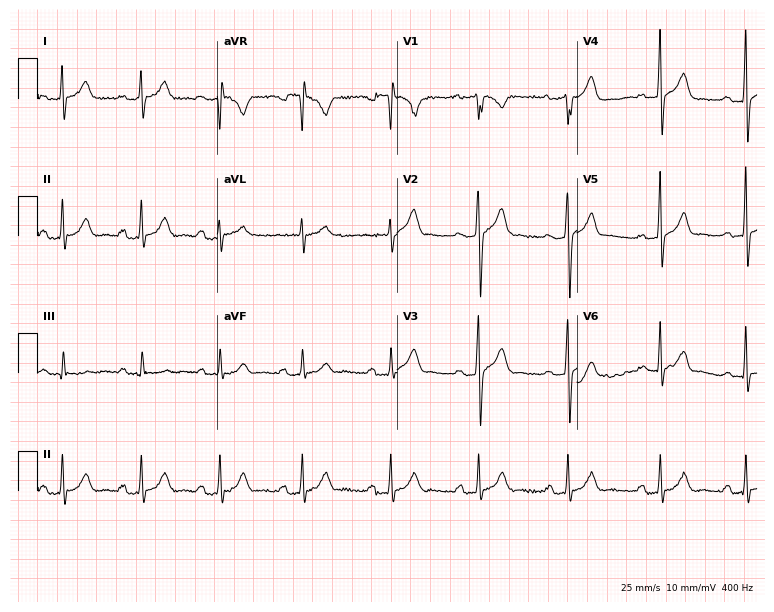
12-lead ECG from a 28-year-old man. No first-degree AV block, right bundle branch block, left bundle branch block, sinus bradycardia, atrial fibrillation or sinus tachycardia recorded for this tracing. Other findings, if any, are not listed.